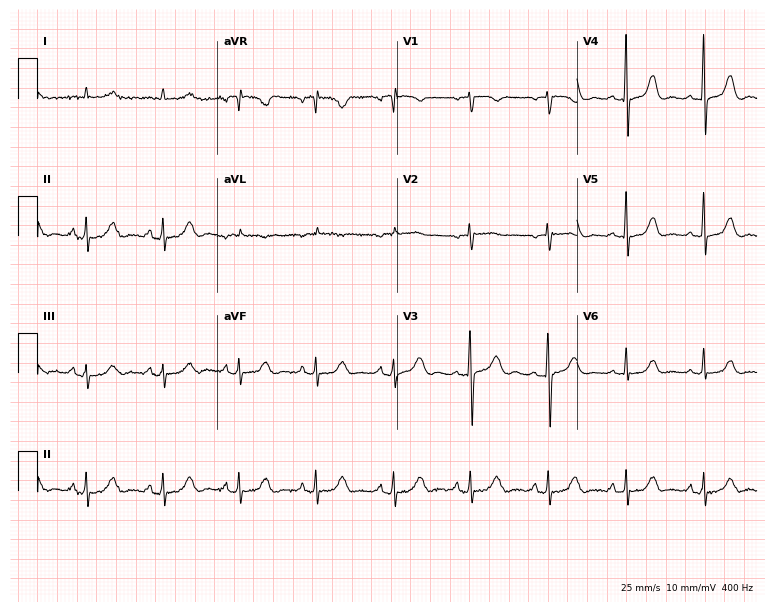
Resting 12-lead electrocardiogram (7.3-second recording at 400 Hz). Patient: a 65-year-old woman. Read as a normal ECG.